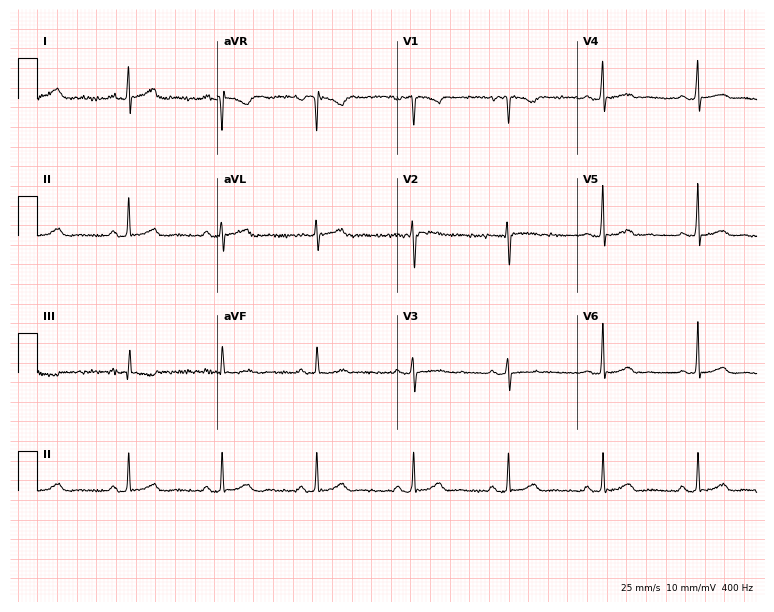
ECG — a female patient, 49 years old. Screened for six findings — first-degree AV block, right bundle branch block, left bundle branch block, sinus bradycardia, atrial fibrillation, sinus tachycardia — none is recorded. Findings outside these six are not listed.